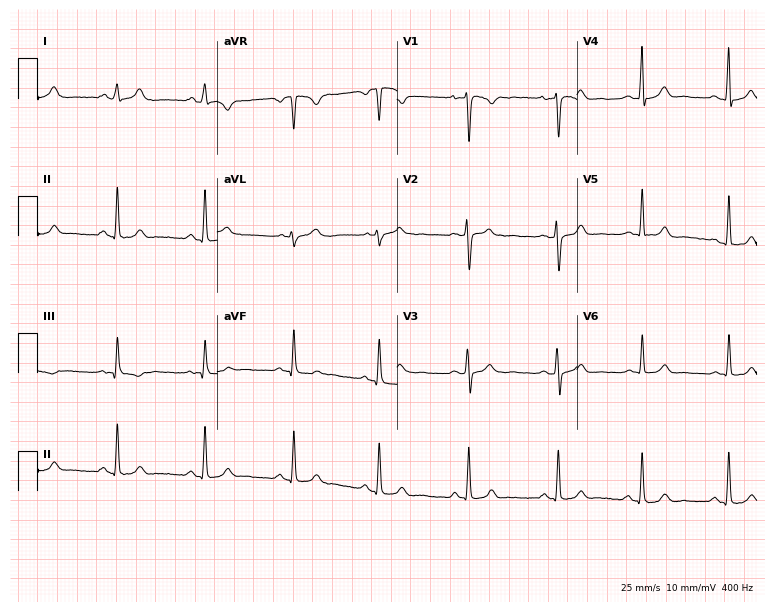
Resting 12-lead electrocardiogram. Patient: a female, 20 years old. None of these six findings is recorded: first-degree AV block, right bundle branch block, left bundle branch block, sinus bradycardia, atrial fibrillation, sinus tachycardia.